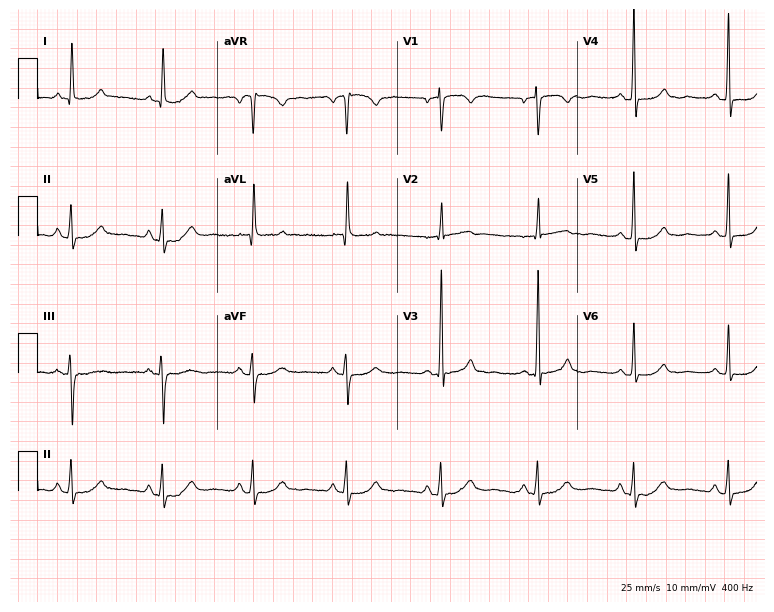
ECG (7.3-second recording at 400 Hz) — a 75-year-old woman. Screened for six findings — first-degree AV block, right bundle branch block (RBBB), left bundle branch block (LBBB), sinus bradycardia, atrial fibrillation (AF), sinus tachycardia — none is recorded. Findings outside these six are not listed.